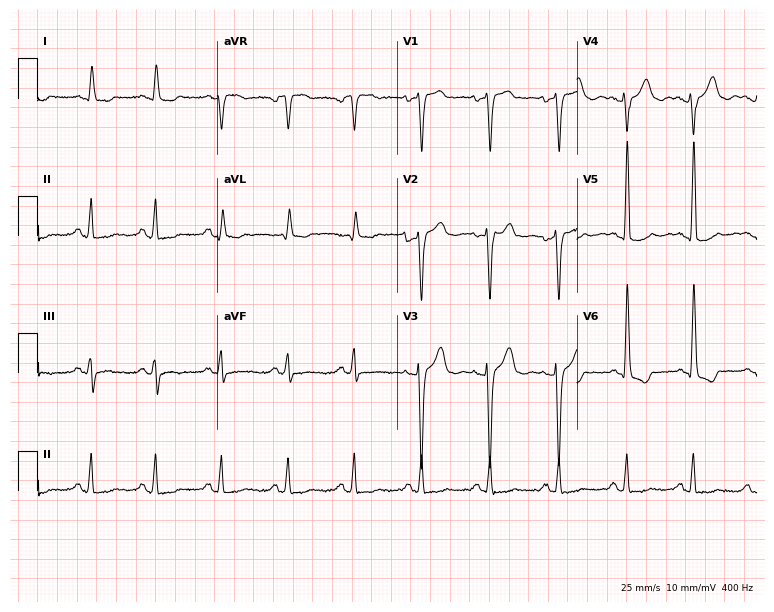
12-lead ECG from a female, 57 years old (7.3-second recording at 400 Hz). No first-degree AV block, right bundle branch block, left bundle branch block, sinus bradycardia, atrial fibrillation or sinus tachycardia recorded for this tracing. Other findings, if any, are not listed.